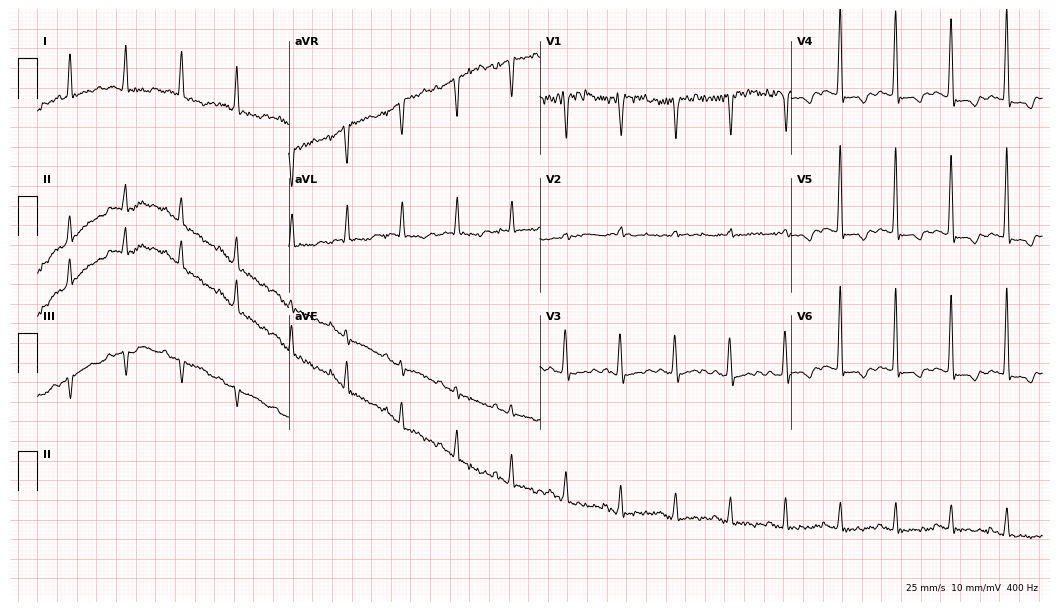
Electrocardiogram, an 81-year-old woman. Of the six screened findings (first-degree AV block, right bundle branch block (RBBB), left bundle branch block (LBBB), sinus bradycardia, atrial fibrillation (AF), sinus tachycardia), none is recorded.